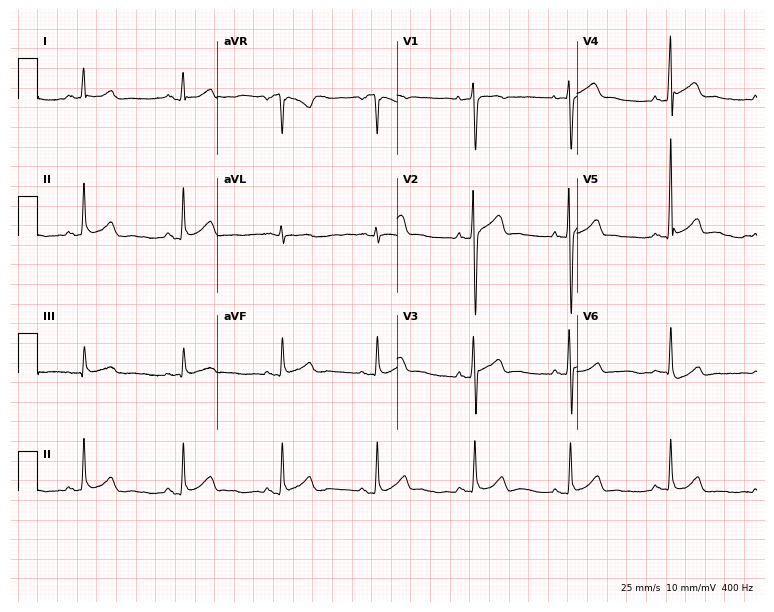
Resting 12-lead electrocardiogram. Patient: a 33-year-old man. None of these six findings is recorded: first-degree AV block, right bundle branch block (RBBB), left bundle branch block (LBBB), sinus bradycardia, atrial fibrillation (AF), sinus tachycardia.